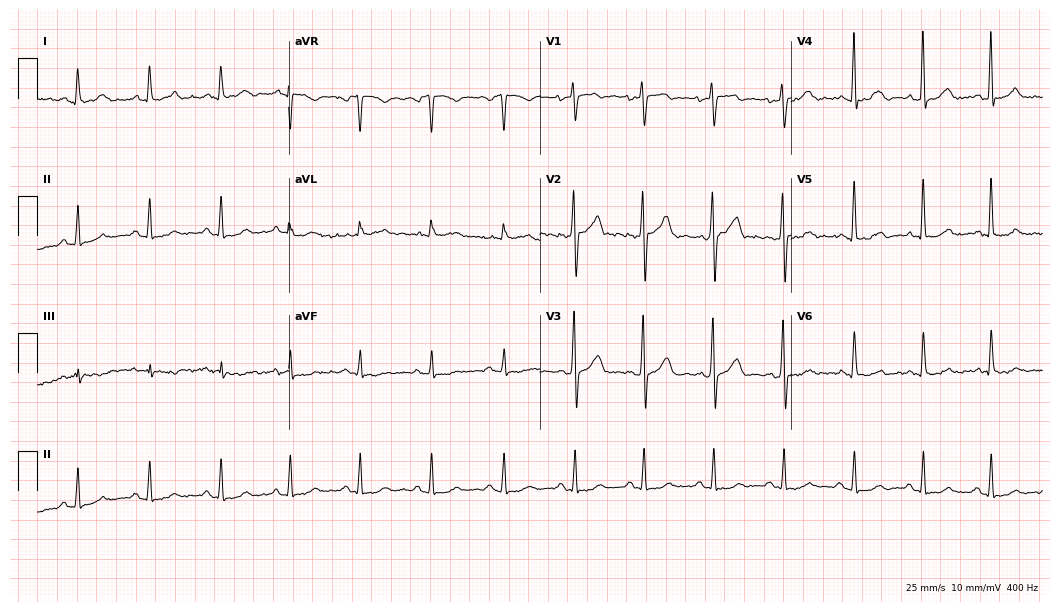
Standard 12-lead ECG recorded from a male patient, 82 years old (10.2-second recording at 400 Hz). Read as a normal ECG.